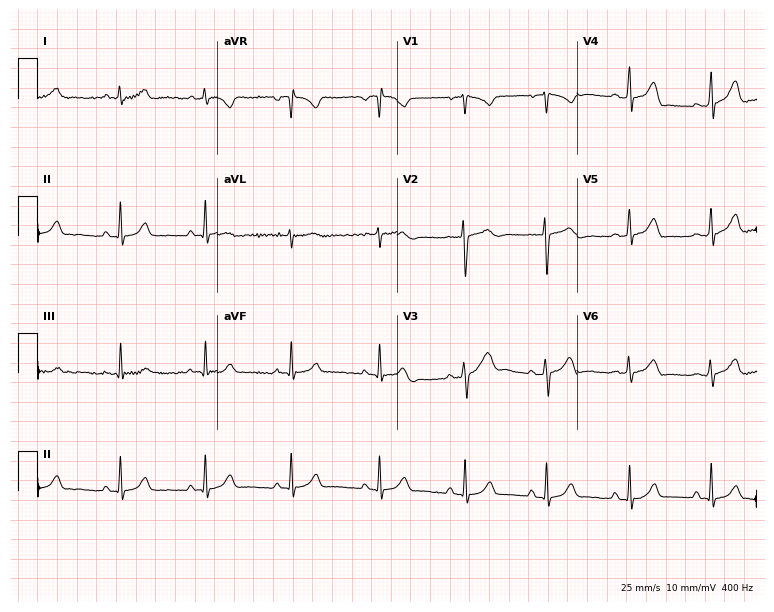
Standard 12-lead ECG recorded from a 21-year-old female patient (7.3-second recording at 400 Hz). None of these six findings is recorded: first-degree AV block, right bundle branch block, left bundle branch block, sinus bradycardia, atrial fibrillation, sinus tachycardia. Only these six findings were labelled.